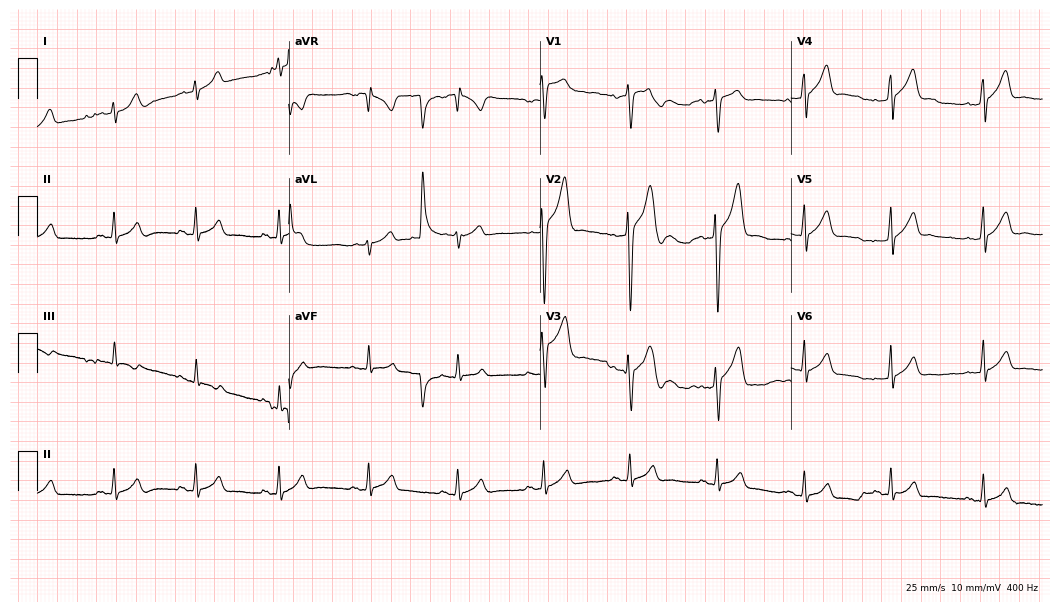
Standard 12-lead ECG recorded from a male, 24 years old (10.2-second recording at 400 Hz). Read as a normal ECG.